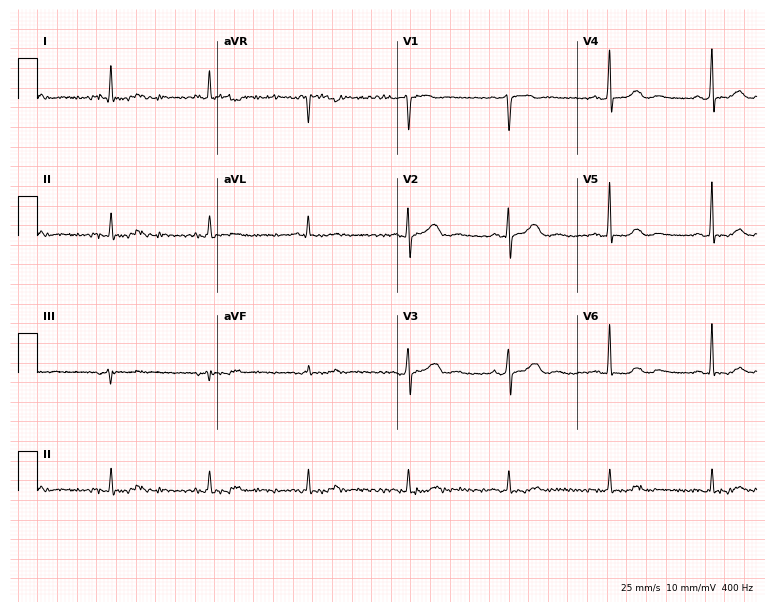
12-lead ECG from a man, 81 years old. Recorded interpretation: within normal limits.